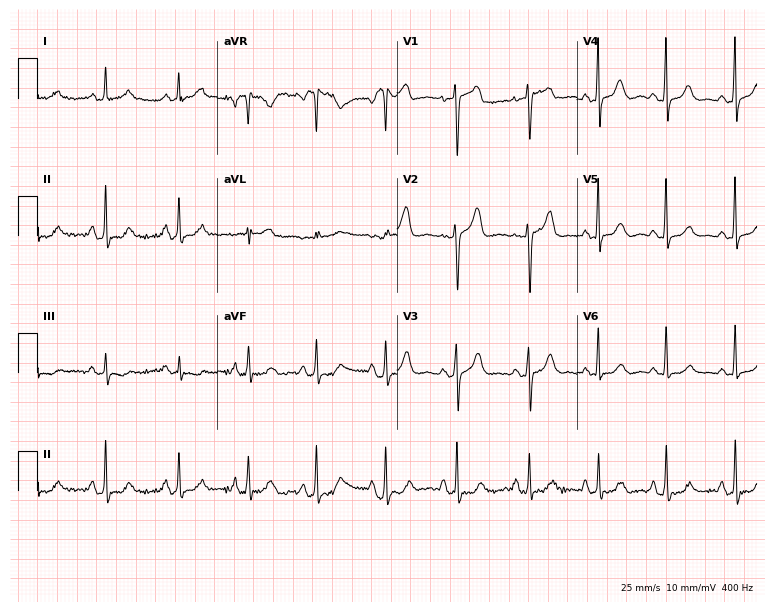
Electrocardiogram (7.3-second recording at 400 Hz), a 64-year-old woman. Of the six screened findings (first-degree AV block, right bundle branch block (RBBB), left bundle branch block (LBBB), sinus bradycardia, atrial fibrillation (AF), sinus tachycardia), none is recorded.